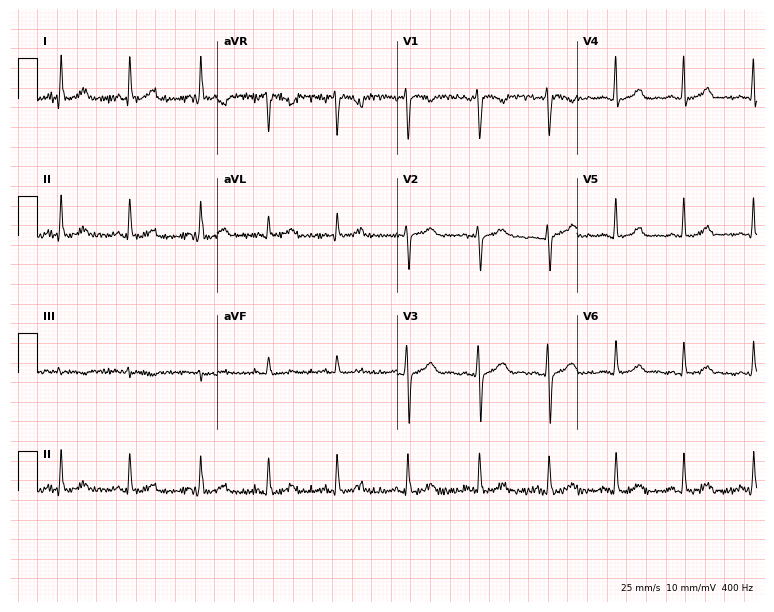
12-lead ECG (7.3-second recording at 400 Hz) from a 34-year-old female. Labelled as a normal ECG.